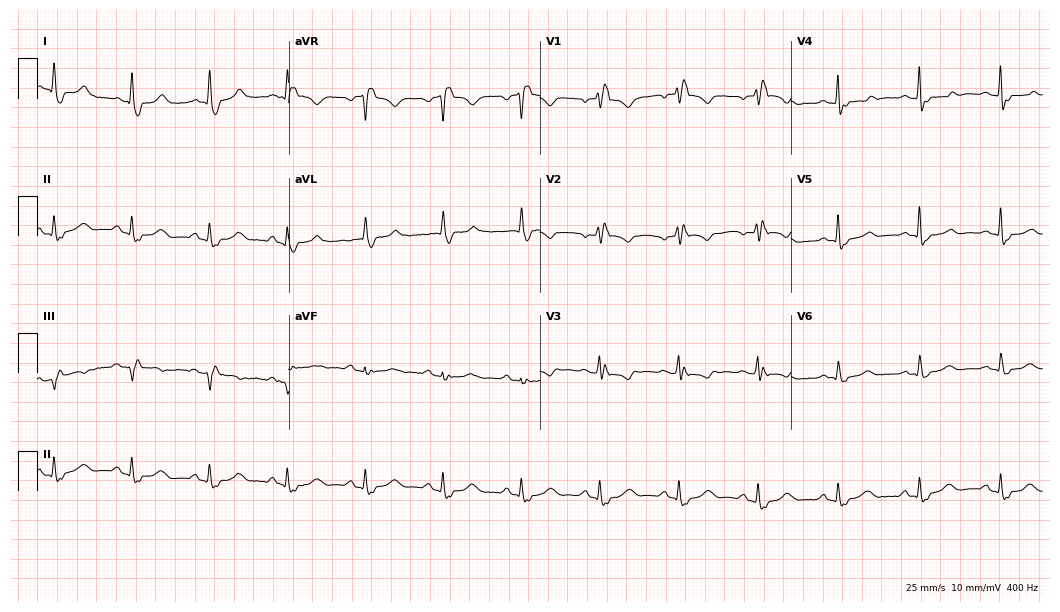
Standard 12-lead ECG recorded from a female, 85 years old (10.2-second recording at 400 Hz). The tracing shows right bundle branch block.